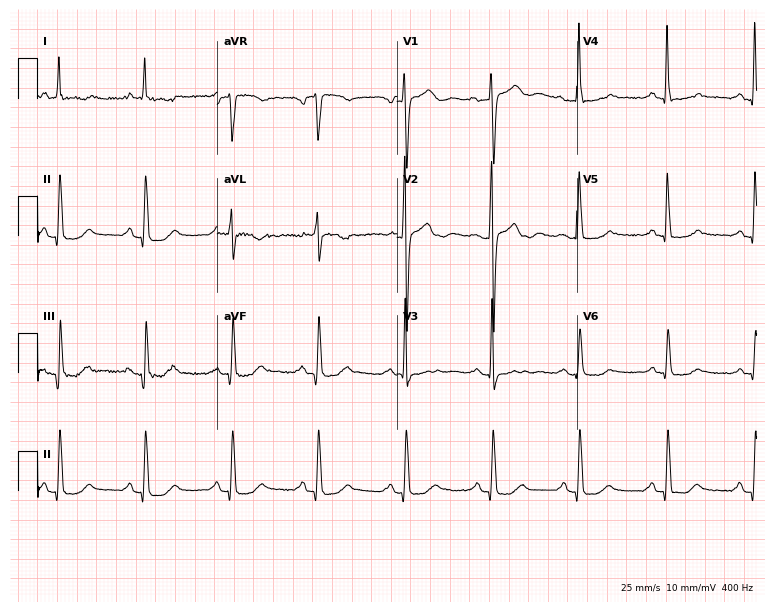
Resting 12-lead electrocardiogram. Patient: a female, 81 years old. None of these six findings is recorded: first-degree AV block, right bundle branch block (RBBB), left bundle branch block (LBBB), sinus bradycardia, atrial fibrillation (AF), sinus tachycardia. Only these six findings were labelled.